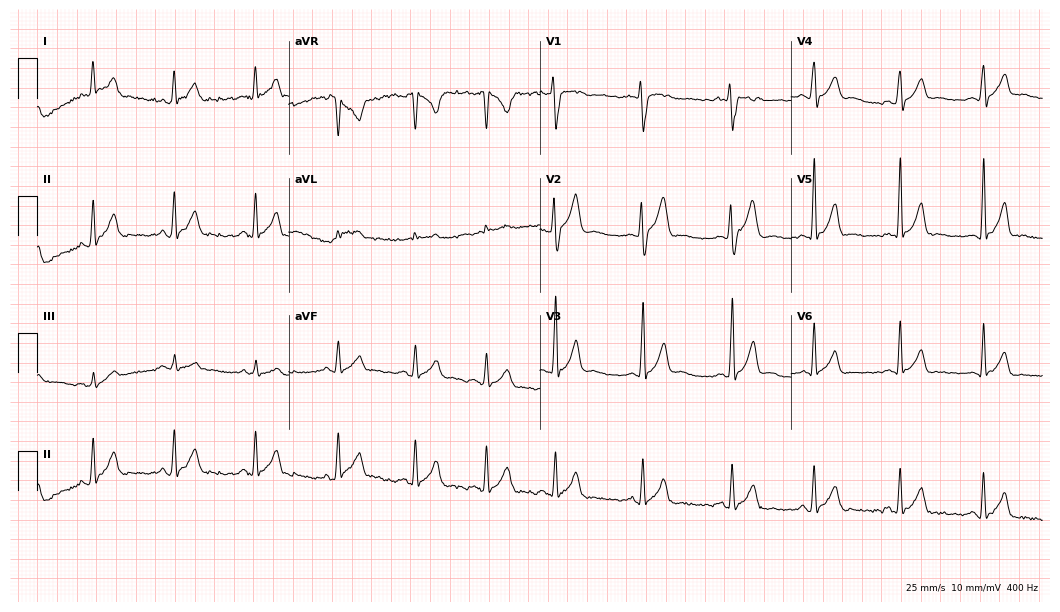
Standard 12-lead ECG recorded from a male, 22 years old. Read as a normal ECG.